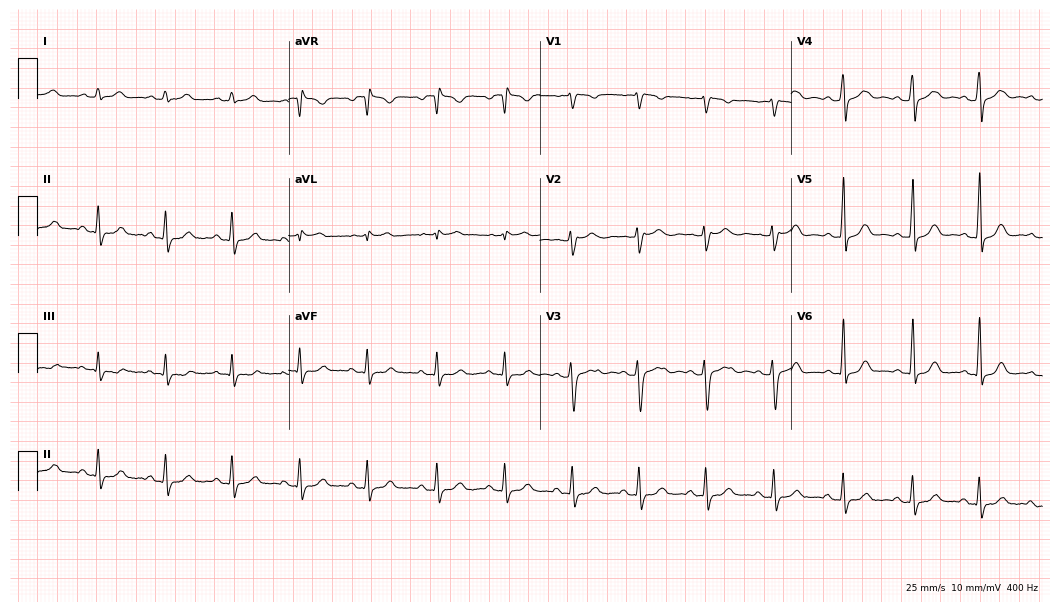
Standard 12-lead ECG recorded from a woman, 36 years old. None of these six findings is recorded: first-degree AV block, right bundle branch block, left bundle branch block, sinus bradycardia, atrial fibrillation, sinus tachycardia. Findings outside these six are not listed.